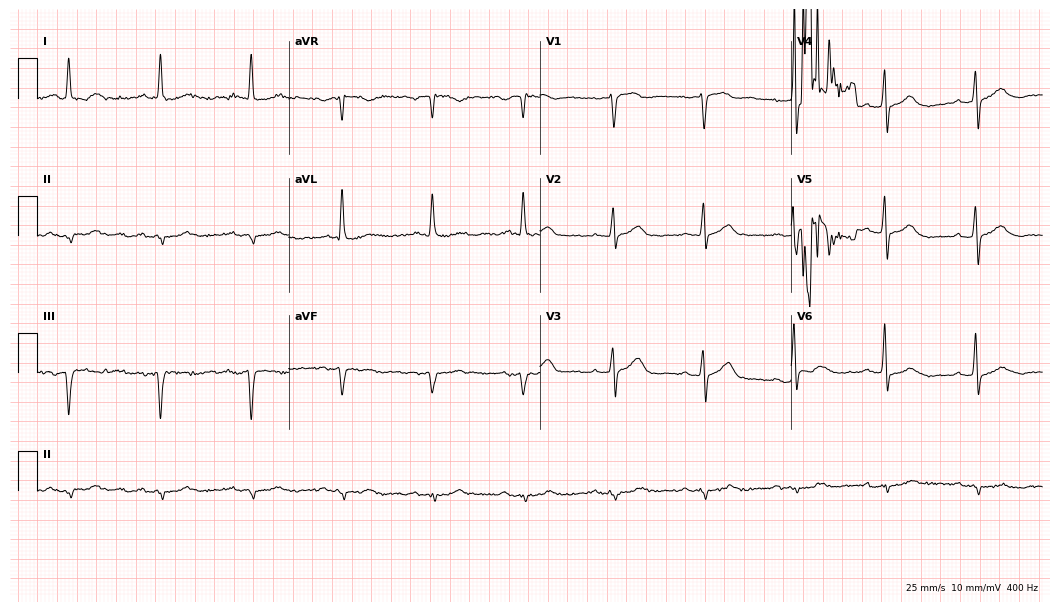
12-lead ECG (10.2-second recording at 400 Hz) from a man, 84 years old. Screened for six findings — first-degree AV block, right bundle branch block, left bundle branch block, sinus bradycardia, atrial fibrillation, sinus tachycardia — none is recorded.